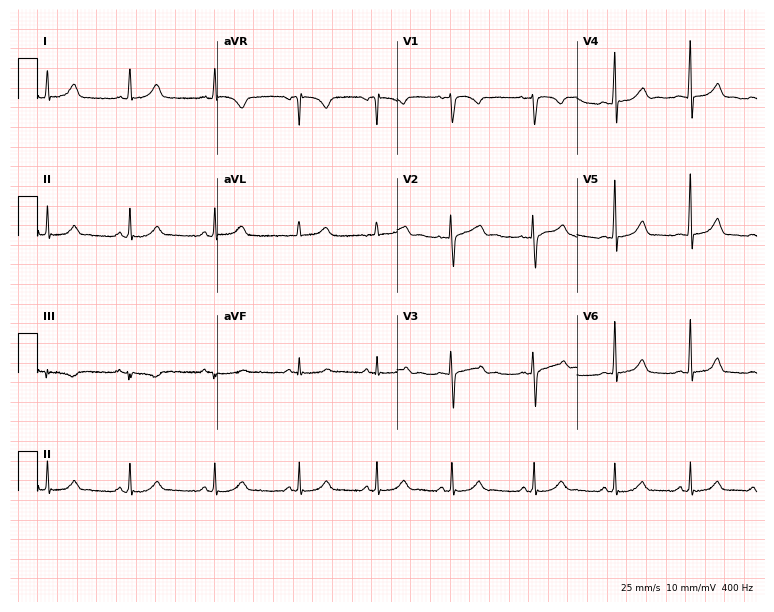
Standard 12-lead ECG recorded from a woman, 20 years old. Read as a normal ECG.